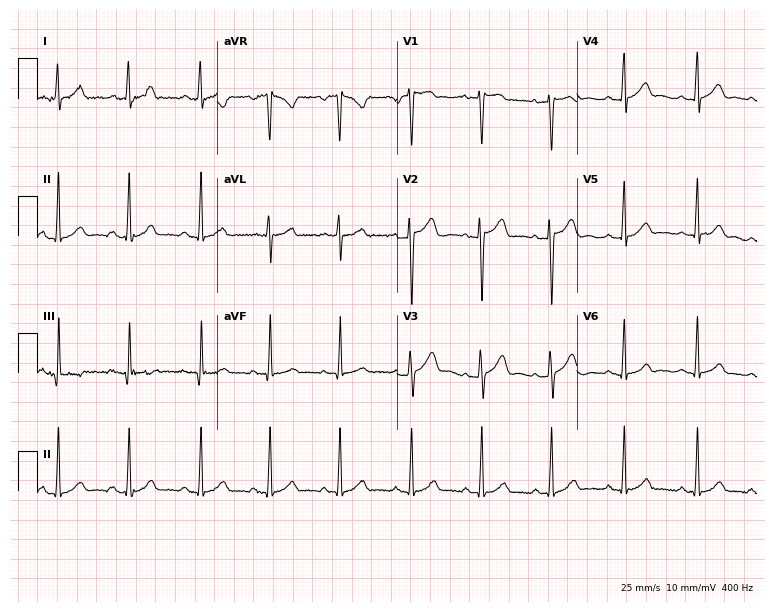
Standard 12-lead ECG recorded from a 39-year-old female. Read as a normal ECG.